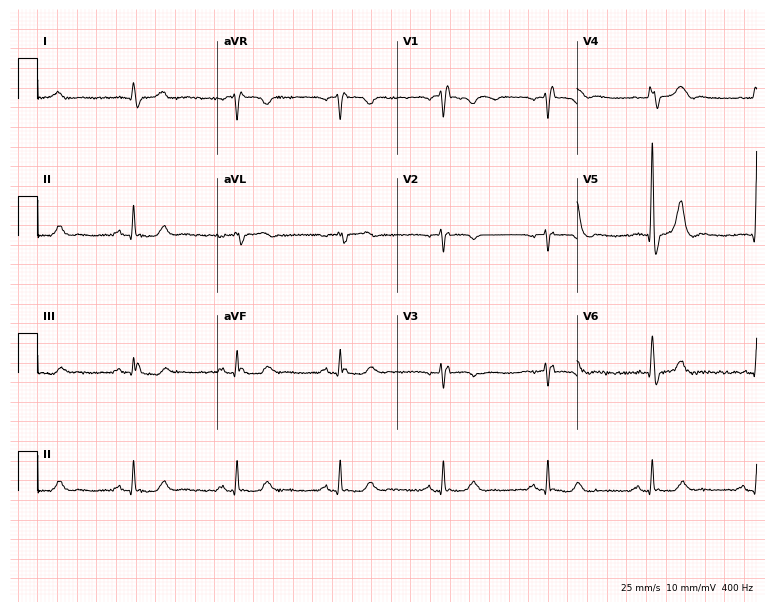
12-lead ECG from a male patient, 82 years old (7.3-second recording at 400 Hz). No first-degree AV block, right bundle branch block, left bundle branch block, sinus bradycardia, atrial fibrillation or sinus tachycardia recorded for this tracing.